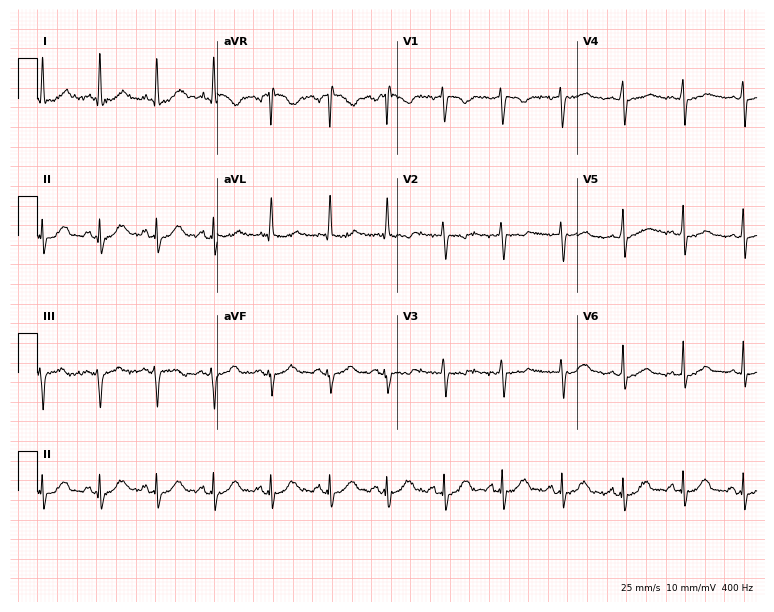
Resting 12-lead electrocardiogram. Patient: a 38-year-old female. The tracing shows sinus tachycardia (a sinus rate of 100 beats per minute or more).